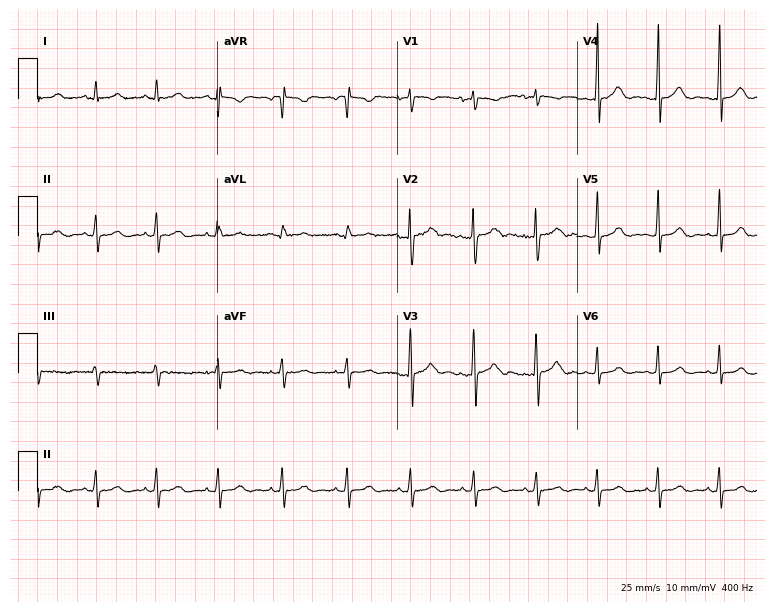
Electrocardiogram, a female patient, 24 years old. Of the six screened findings (first-degree AV block, right bundle branch block, left bundle branch block, sinus bradycardia, atrial fibrillation, sinus tachycardia), none is recorded.